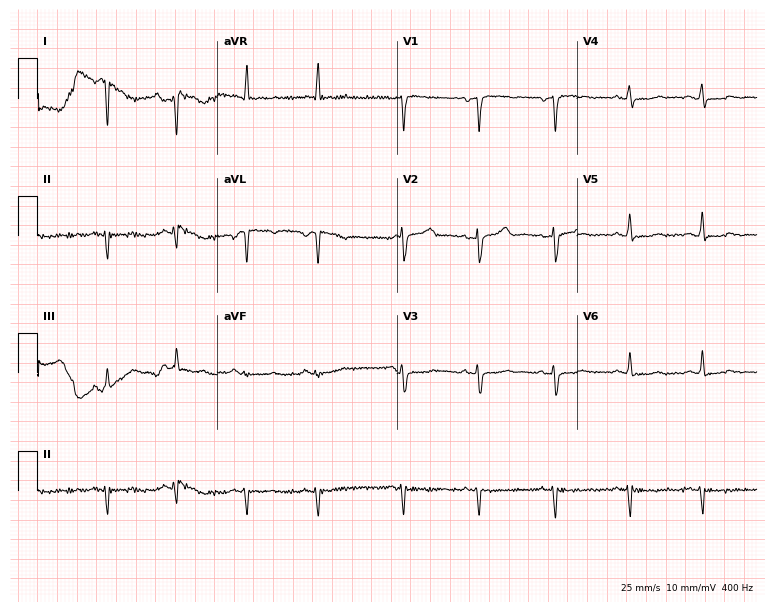
Electrocardiogram (7.3-second recording at 400 Hz), a 43-year-old woman. Of the six screened findings (first-degree AV block, right bundle branch block (RBBB), left bundle branch block (LBBB), sinus bradycardia, atrial fibrillation (AF), sinus tachycardia), none is recorded. Other findings, if any, are not listed.